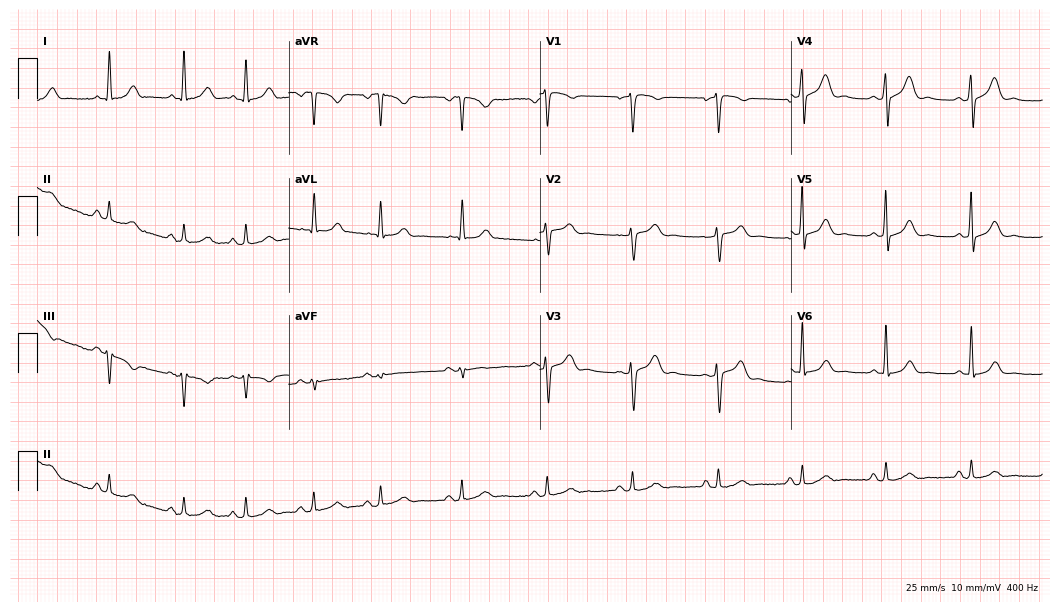
12-lead ECG (10.2-second recording at 400 Hz) from a female patient, 50 years old. Screened for six findings — first-degree AV block, right bundle branch block, left bundle branch block, sinus bradycardia, atrial fibrillation, sinus tachycardia — none is recorded.